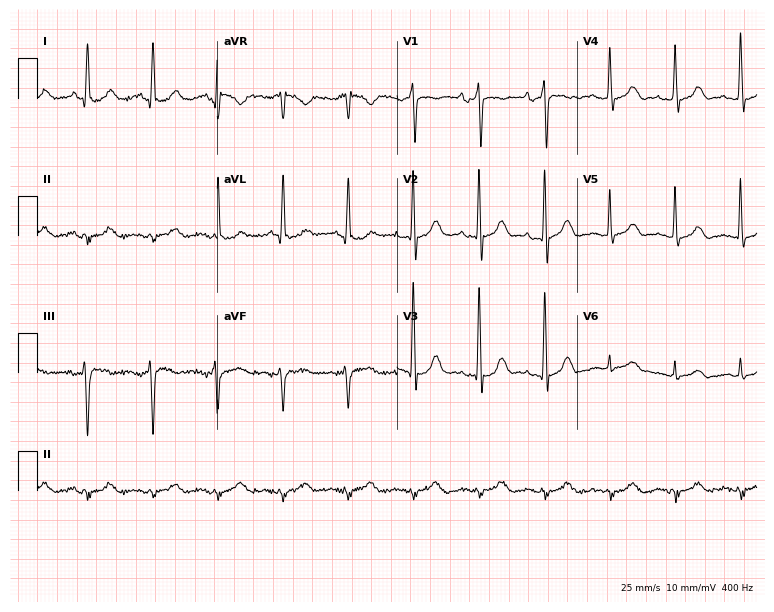
Standard 12-lead ECG recorded from a 77-year-old woman. None of these six findings is recorded: first-degree AV block, right bundle branch block (RBBB), left bundle branch block (LBBB), sinus bradycardia, atrial fibrillation (AF), sinus tachycardia. Other findings, if any, are not listed.